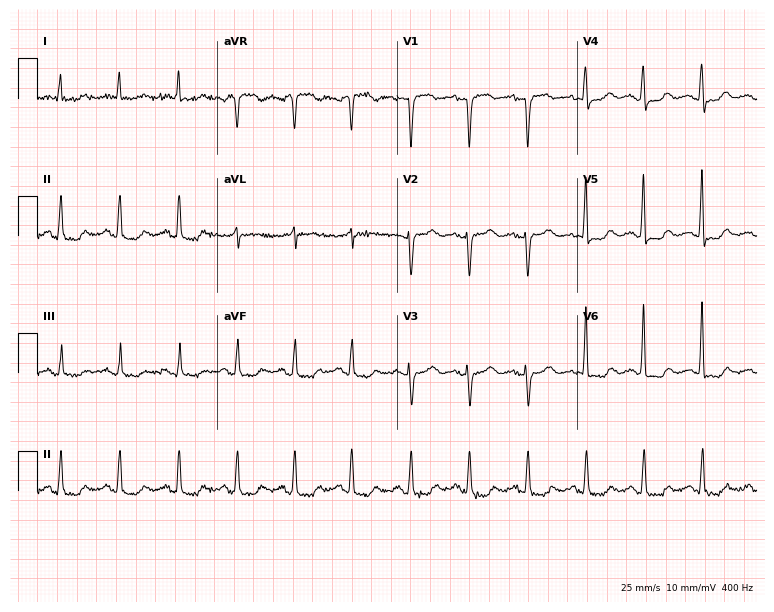
ECG — a female patient, 68 years old. Screened for six findings — first-degree AV block, right bundle branch block, left bundle branch block, sinus bradycardia, atrial fibrillation, sinus tachycardia — none is recorded.